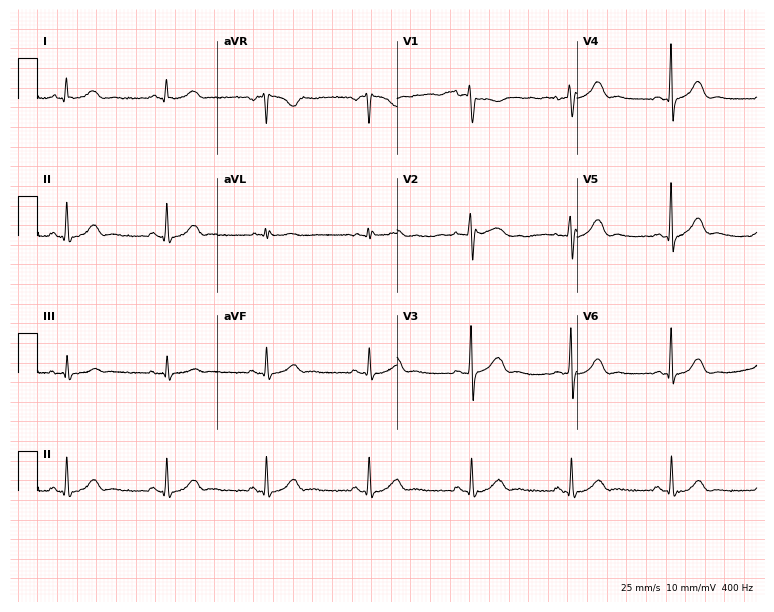
12-lead ECG (7.3-second recording at 400 Hz) from a male, 55 years old. Screened for six findings — first-degree AV block, right bundle branch block, left bundle branch block, sinus bradycardia, atrial fibrillation, sinus tachycardia — none is recorded. Findings outside these six are not listed.